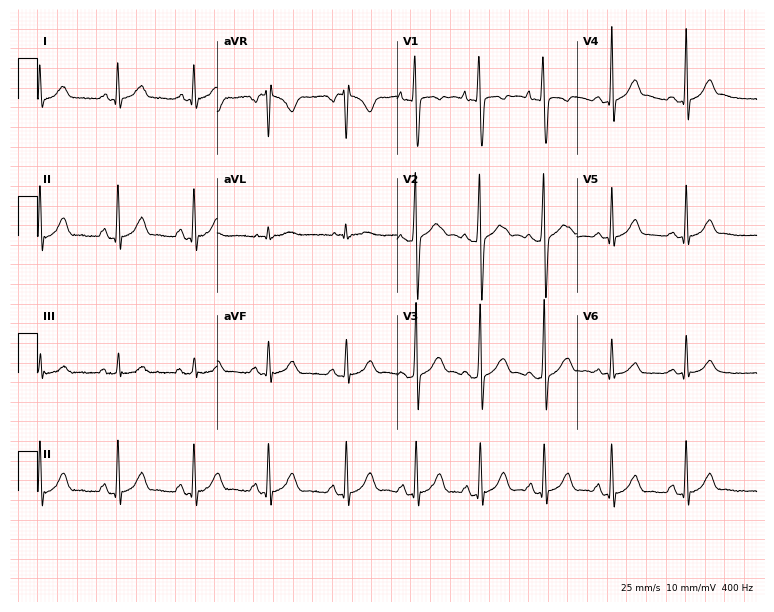
Electrocardiogram (7.3-second recording at 400 Hz), a male, 17 years old. Overall reading on record: normal ECG.